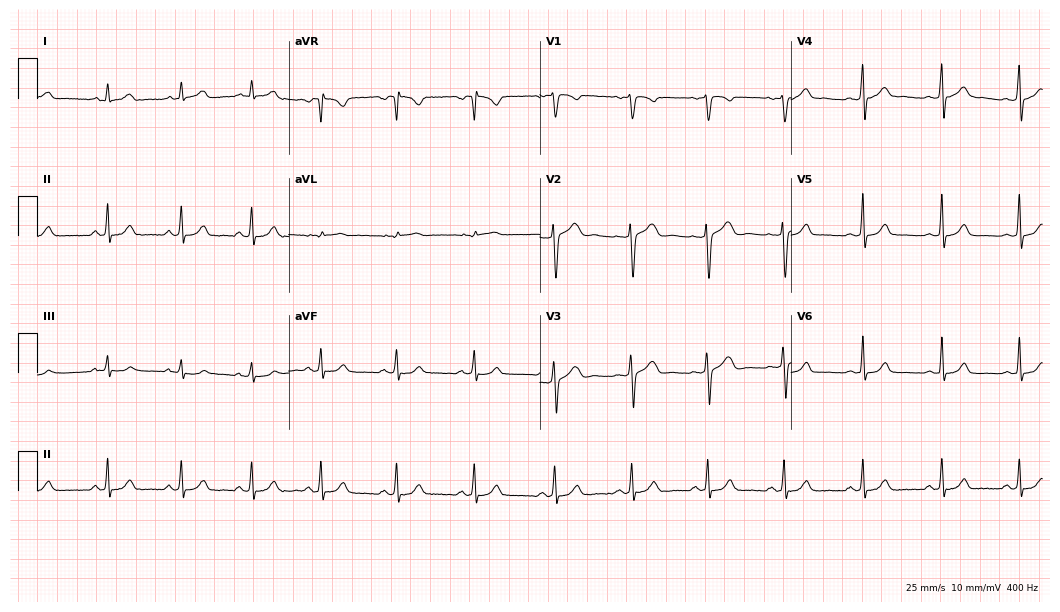
Resting 12-lead electrocardiogram. Patient: a 26-year-old female. Read as a normal ECG.